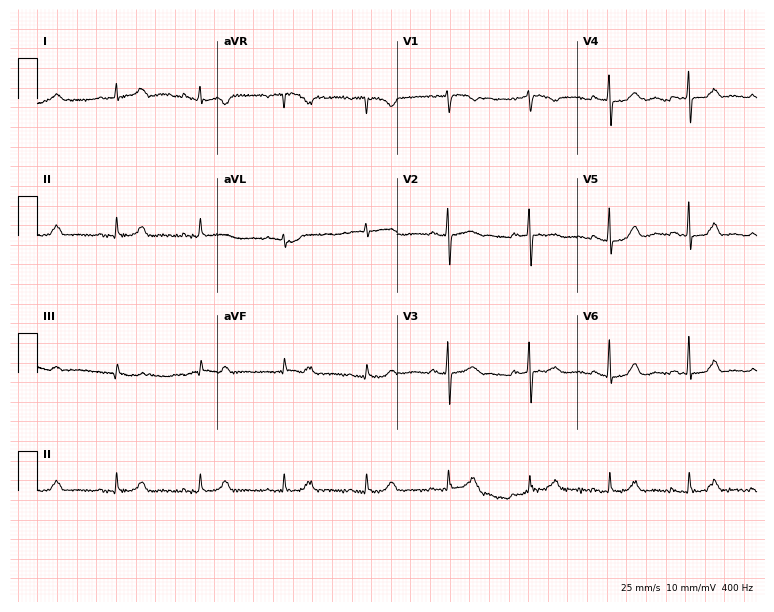
Electrocardiogram (7.3-second recording at 400 Hz), a 70-year-old female. Of the six screened findings (first-degree AV block, right bundle branch block (RBBB), left bundle branch block (LBBB), sinus bradycardia, atrial fibrillation (AF), sinus tachycardia), none is recorded.